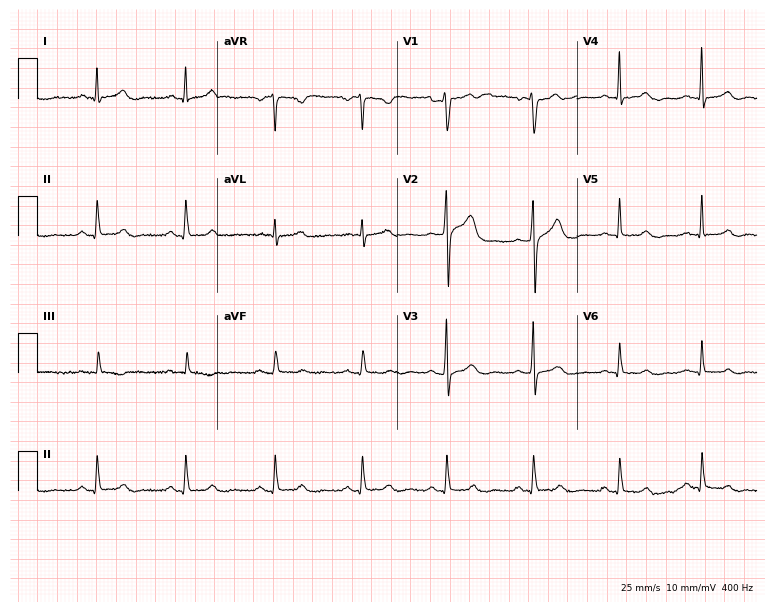
12-lead ECG from a man, 37 years old (7.3-second recording at 400 Hz). Recorded interpretation: within normal limits.